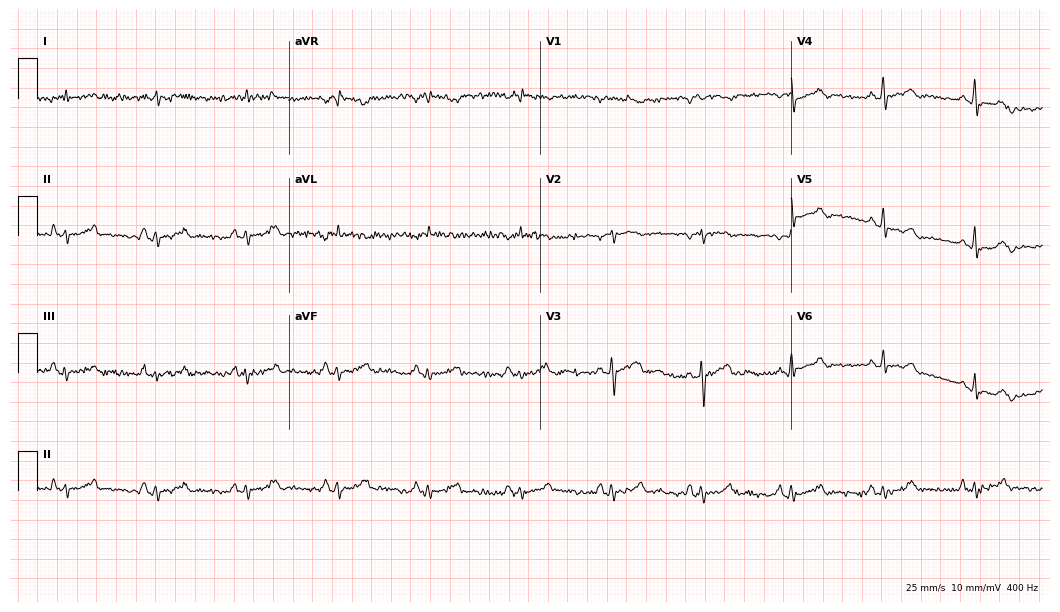
Resting 12-lead electrocardiogram (10.2-second recording at 400 Hz). Patient: a male, 80 years old. None of these six findings is recorded: first-degree AV block, right bundle branch block, left bundle branch block, sinus bradycardia, atrial fibrillation, sinus tachycardia.